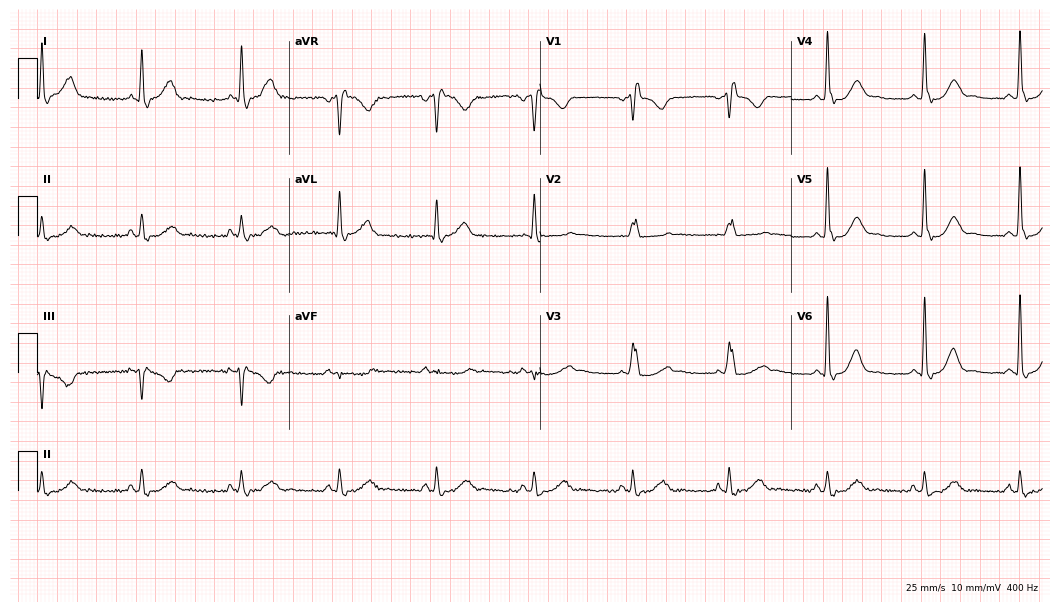
Standard 12-lead ECG recorded from a woman, 43 years old (10.2-second recording at 400 Hz). The tracing shows right bundle branch block.